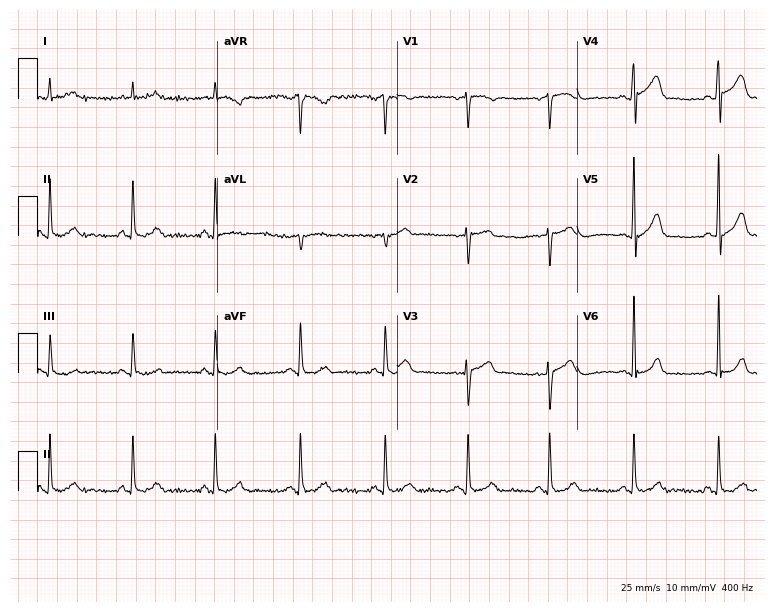
Standard 12-lead ECG recorded from a male patient, 58 years old. Read as a normal ECG.